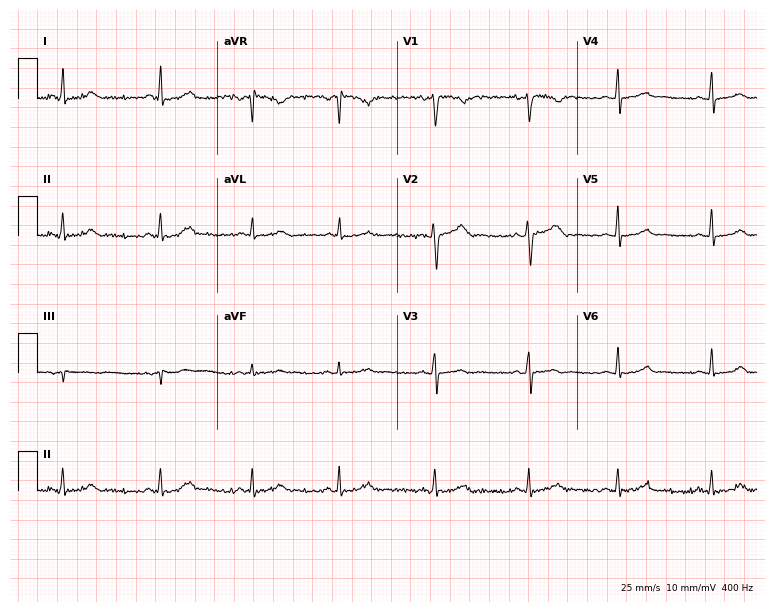
12-lead ECG from a female, 21 years old. Recorded interpretation: within normal limits.